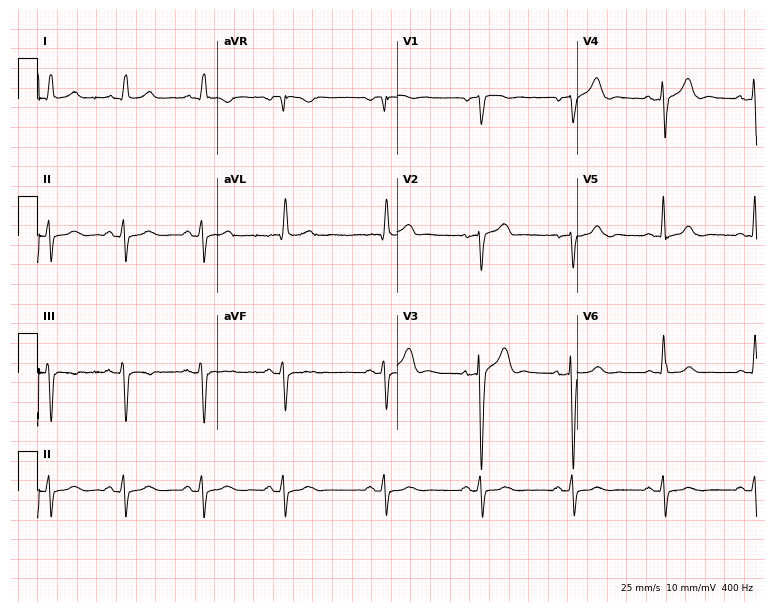
ECG (7.3-second recording at 400 Hz) — a 74-year-old male. Screened for six findings — first-degree AV block, right bundle branch block, left bundle branch block, sinus bradycardia, atrial fibrillation, sinus tachycardia — none is recorded. Only these six findings were labelled.